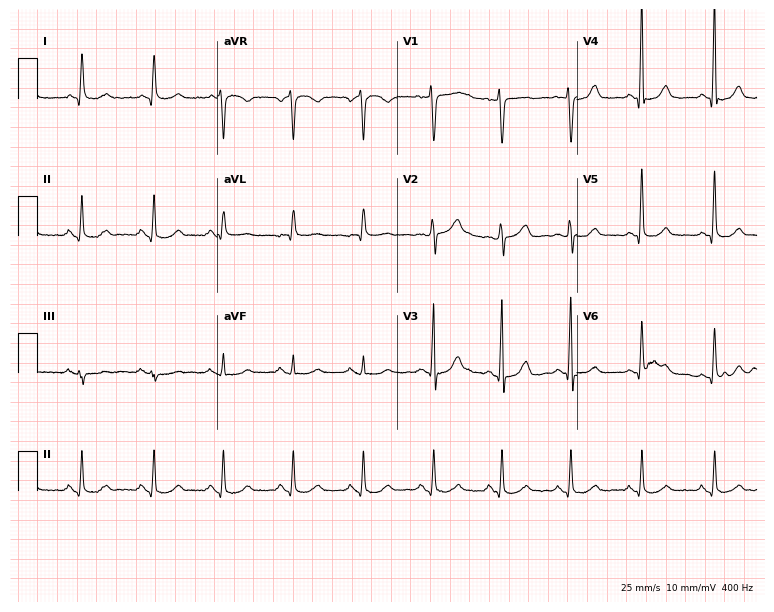
12-lead ECG from a female, 69 years old. Recorded interpretation: within normal limits.